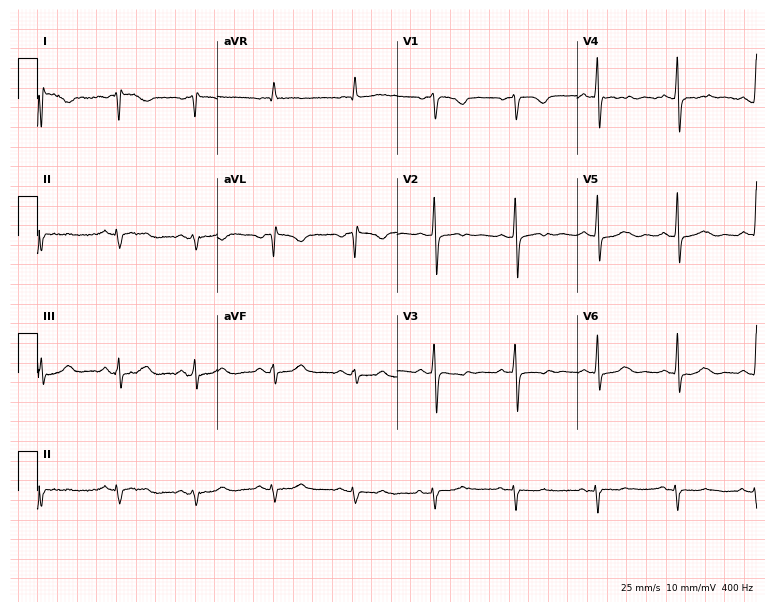
Standard 12-lead ECG recorded from a female patient, 59 years old. None of these six findings is recorded: first-degree AV block, right bundle branch block, left bundle branch block, sinus bradycardia, atrial fibrillation, sinus tachycardia.